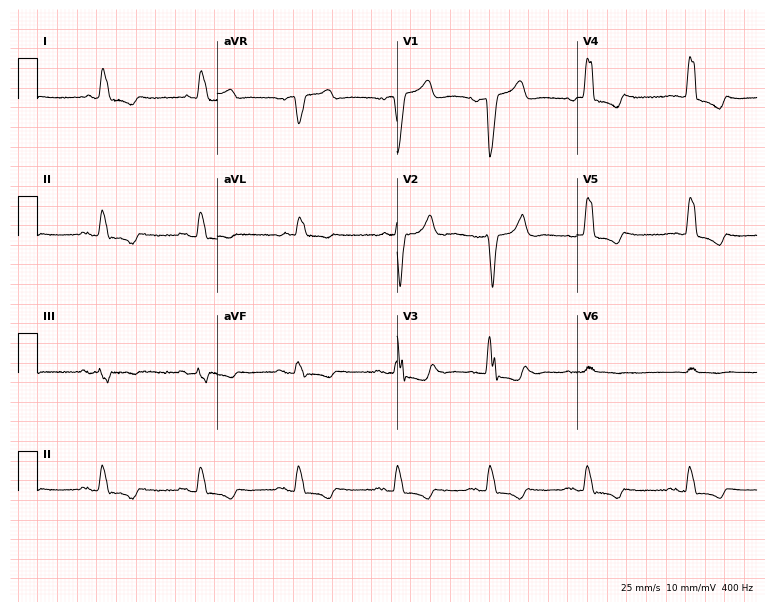
Resting 12-lead electrocardiogram. Patient: an 84-year-old woman. None of these six findings is recorded: first-degree AV block, right bundle branch block, left bundle branch block, sinus bradycardia, atrial fibrillation, sinus tachycardia.